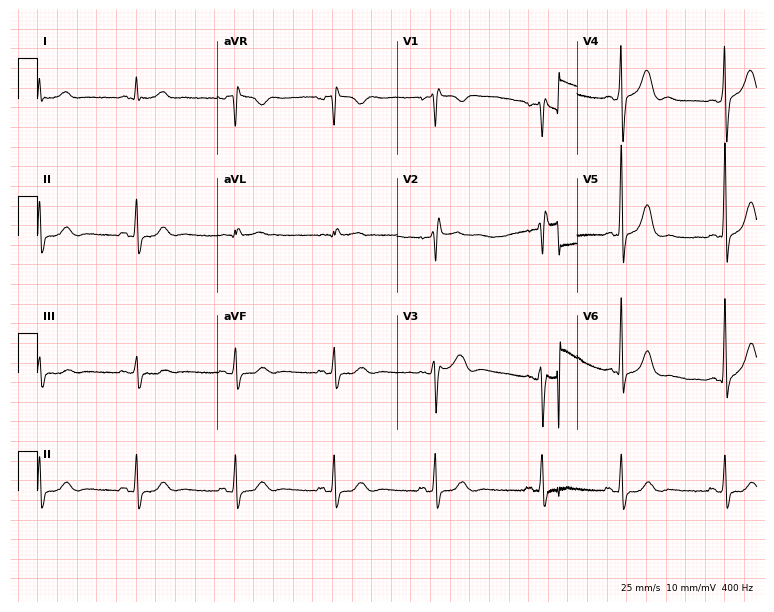
Resting 12-lead electrocardiogram. Patient: a male, 37 years old. Read as a normal ECG.